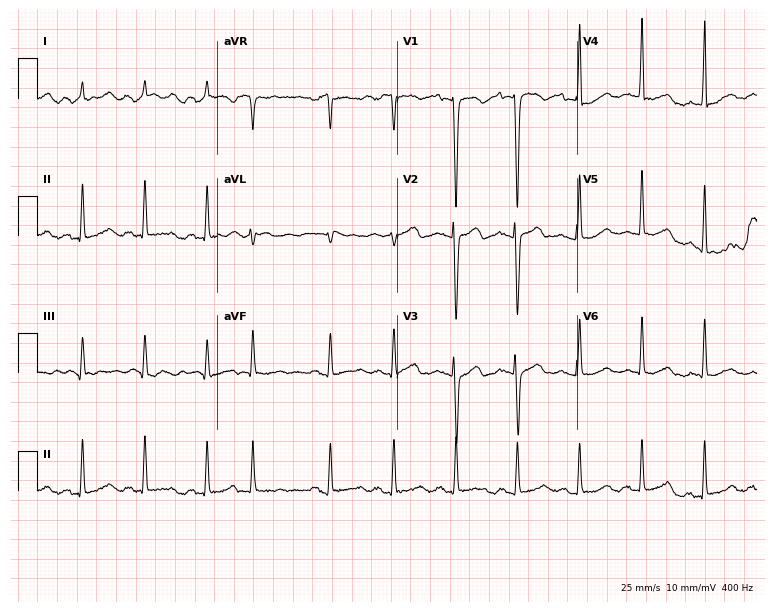
ECG (7.3-second recording at 400 Hz) — a 64-year-old male patient. Screened for six findings — first-degree AV block, right bundle branch block, left bundle branch block, sinus bradycardia, atrial fibrillation, sinus tachycardia — none is recorded. Findings outside these six are not listed.